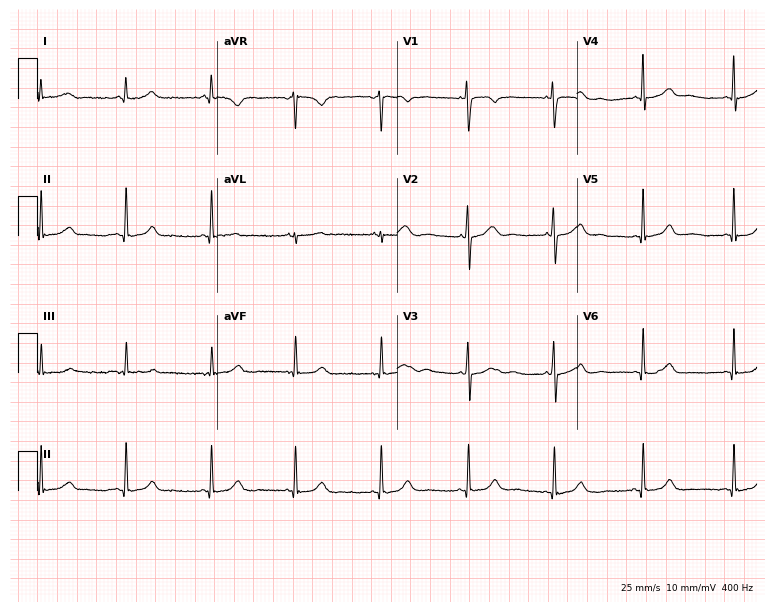
Resting 12-lead electrocardiogram (7.3-second recording at 400 Hz). Patient: a 38-year-old woman. None of these six findings is recorded: first-degree AV block, right bundle branch block, left bundle branch block, sinus bradycardia, atrial fibrillation, sinus tachycardia. Findings outside these six are not listed.